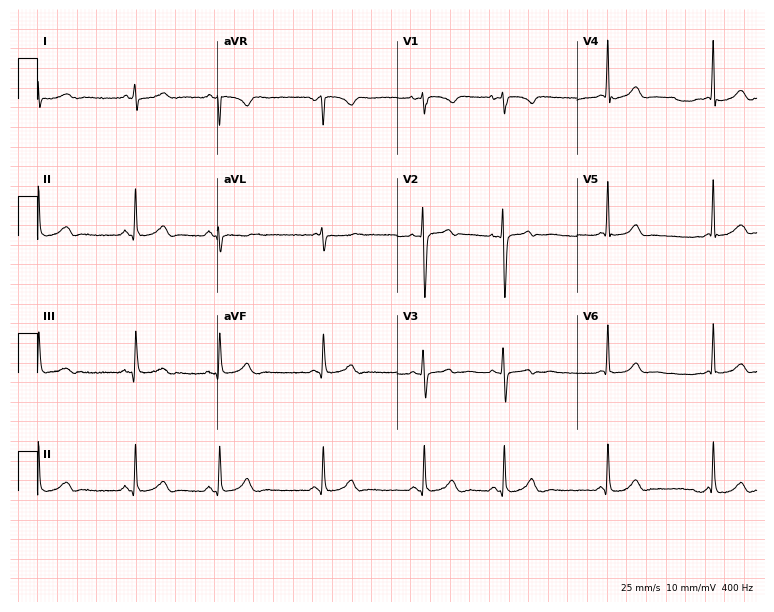
ECG (7.3-second recording at 400 Hz) — a female patient, 21 years old. Labelled as a normal ECG.